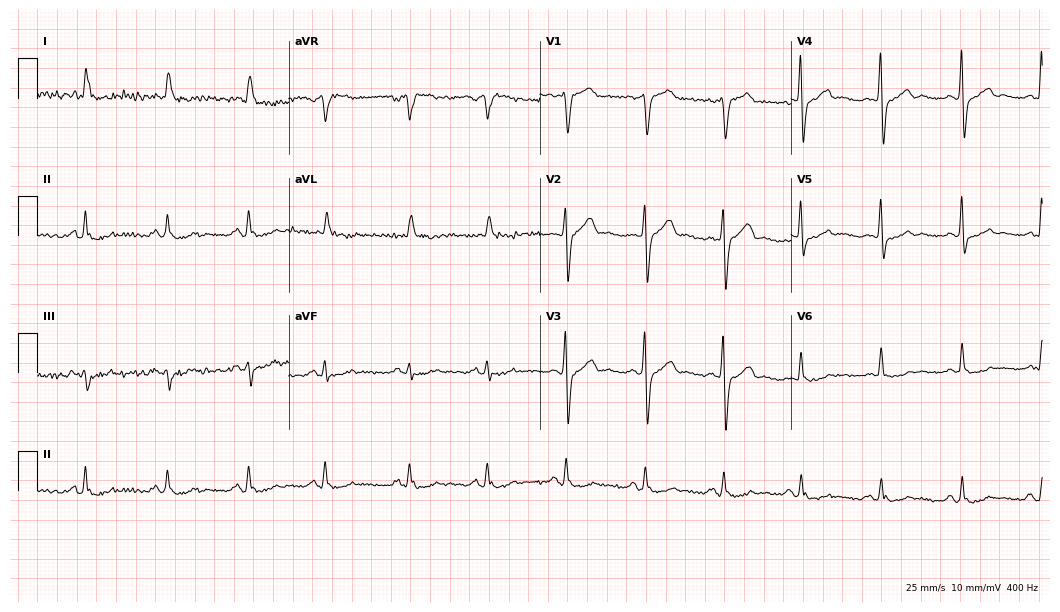
Resting 12-lead electrocardiogram (10.2-second recording at 400 Hz). Patient: a 57-year-old male. None of these six findings is recorded: first-degree AV block, right bundle branch block, left bundle branch block, sinus bradycardia, atrial fibrillation, sinus tachycardia. Only these six findings were labelled.